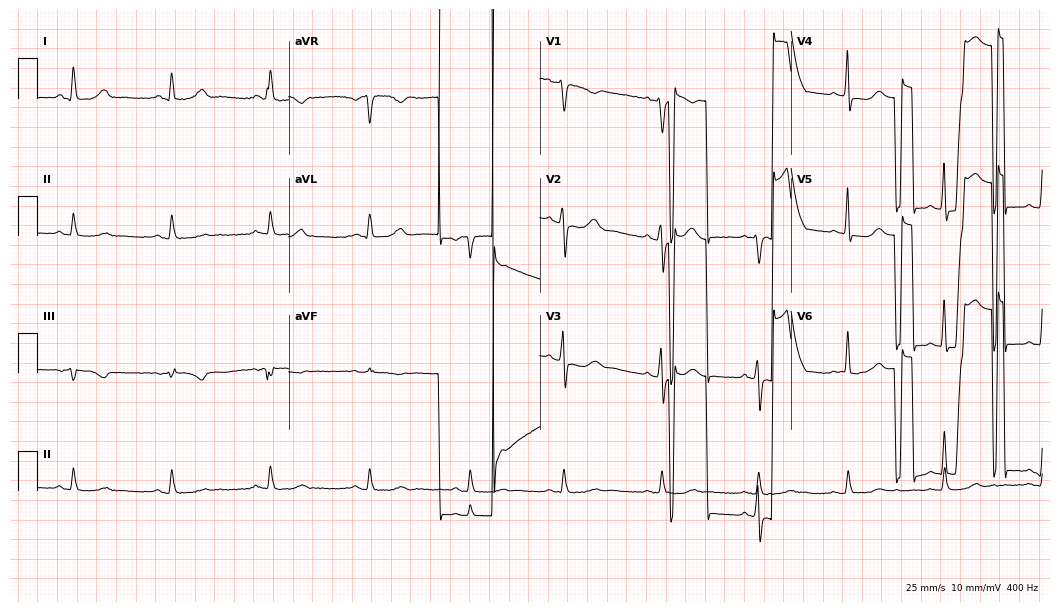
Electrocardiogram, a female patient, 36 years old. Of the six screened findings (first-degree AV block, right bundle branch block (RBBB), left bundle branch block (LBBB), sinus bradycardia, atrial fibrillation (AF), sinus tachycardia), none is recorded.